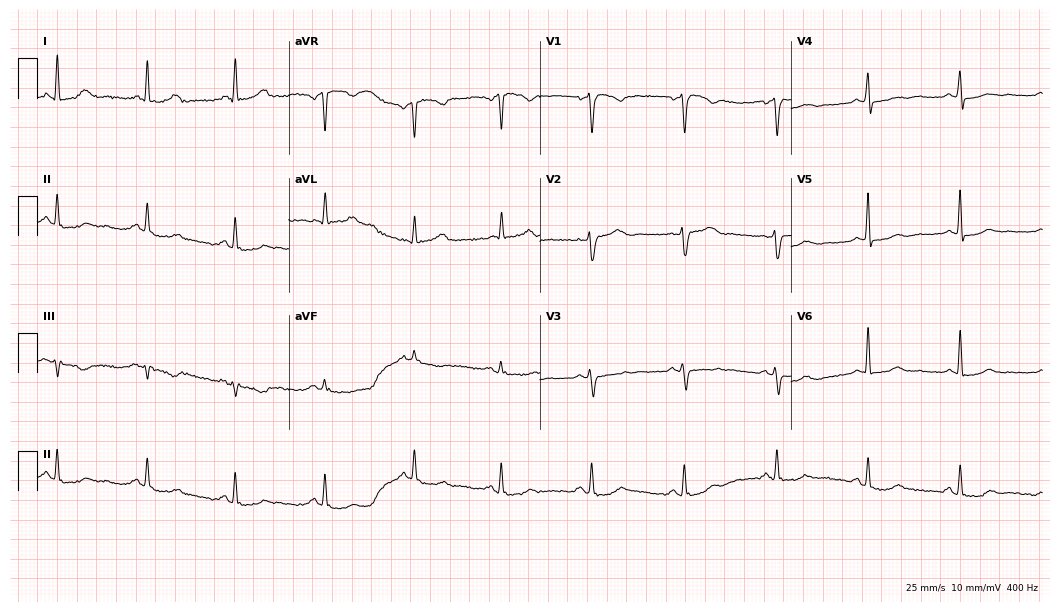
Standard 12-lead ECG recorded from a 42-year-old female patient. None of these six findings is recorded: first-degree AV block, right bundle branch block (RBBB), left bundle branch block (LBBB), sinus bradycardia, atrial fibrillation (AF), sinus tachycardia. Other findings, if any, are not listed.